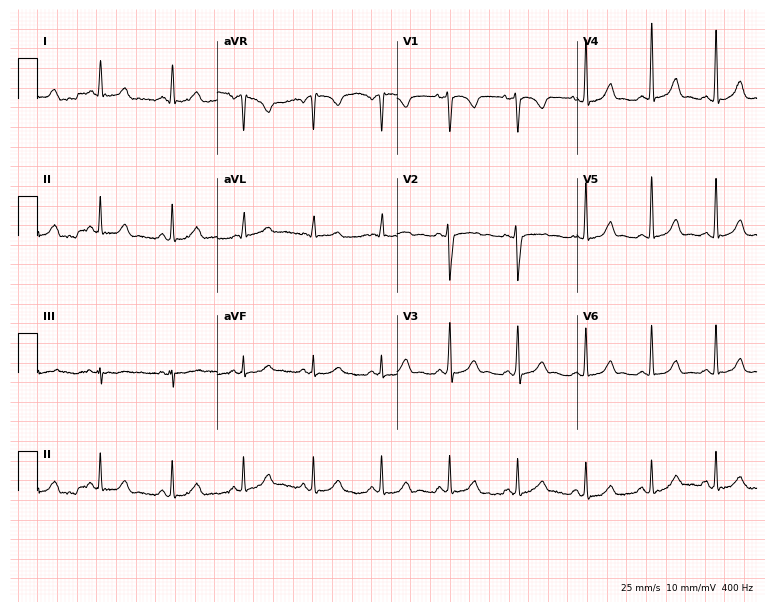
Resting 12-lead electrocardiogram. Patient: a female, 35 years old. Read as a normal ECG.